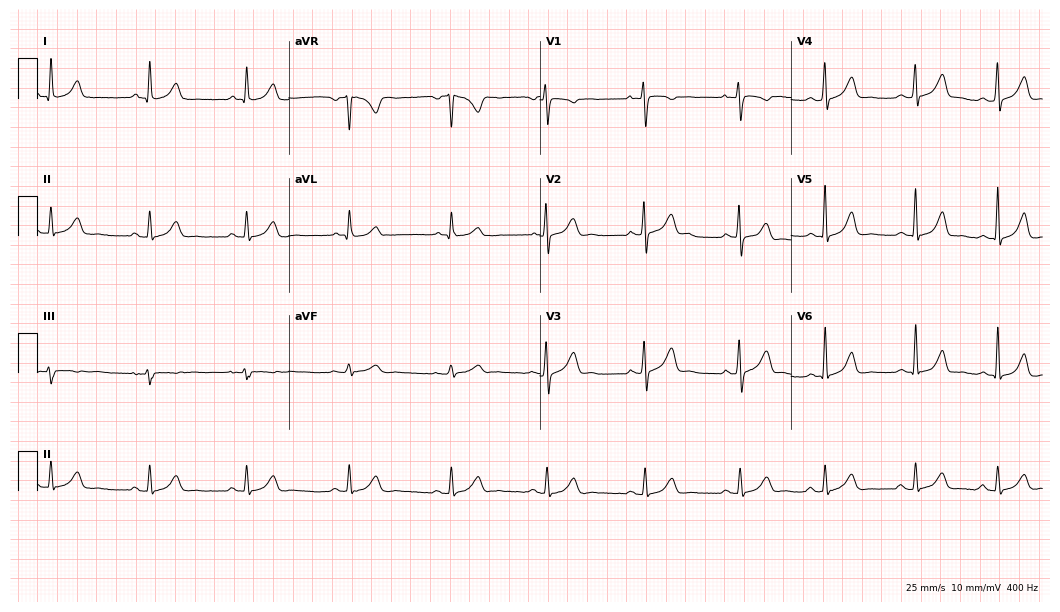
12-lead ECG from a female patient, 29 years old (10.2-second recording at 400 Hz). Recorded interpretation: within normal limits.